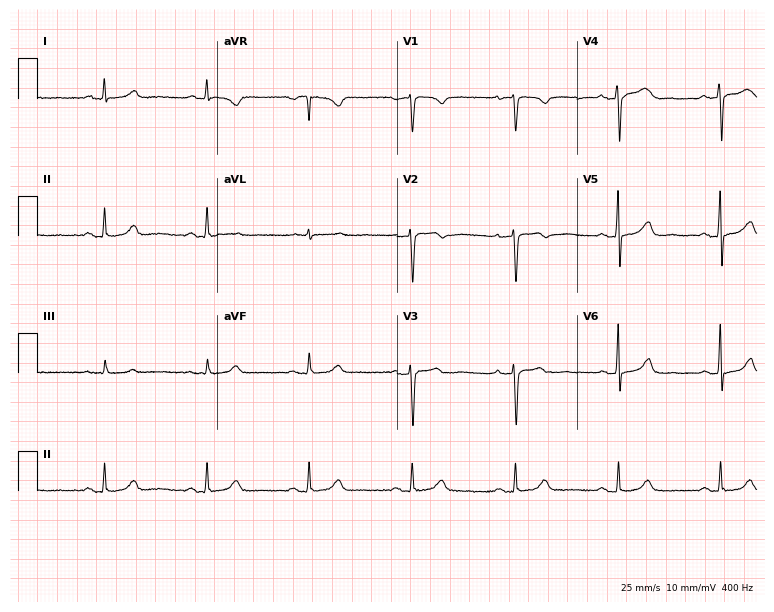
Resting 12-lead electrocardiogram. Patient: a female, 58 years old. Read as a normal ECG.